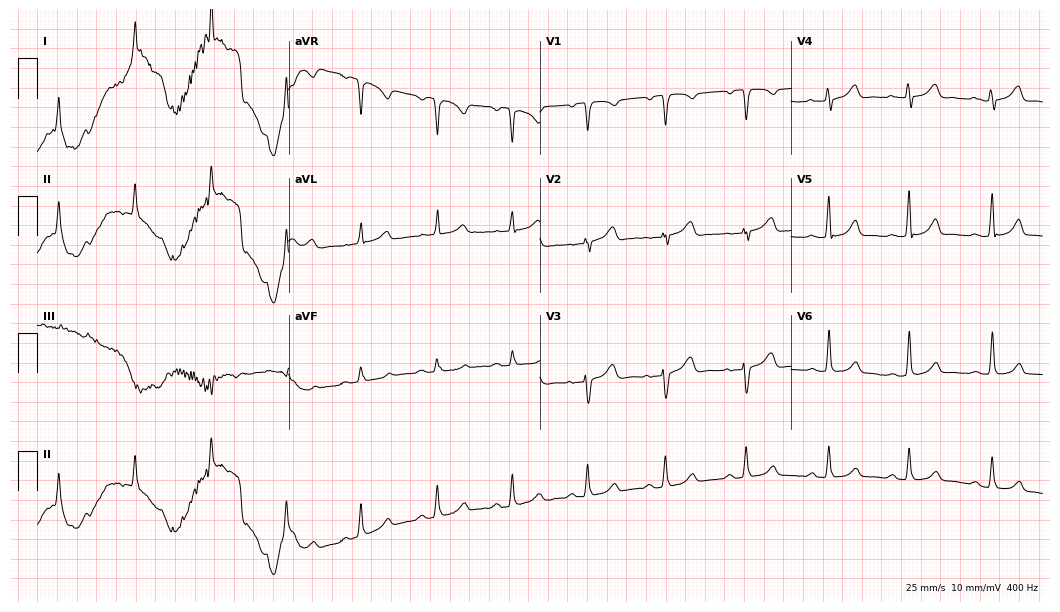
Standard 12-lead ECG recorded from a 47-year-old female patient (10.2-second recording at 400 Hz). Read as a normal ECG.